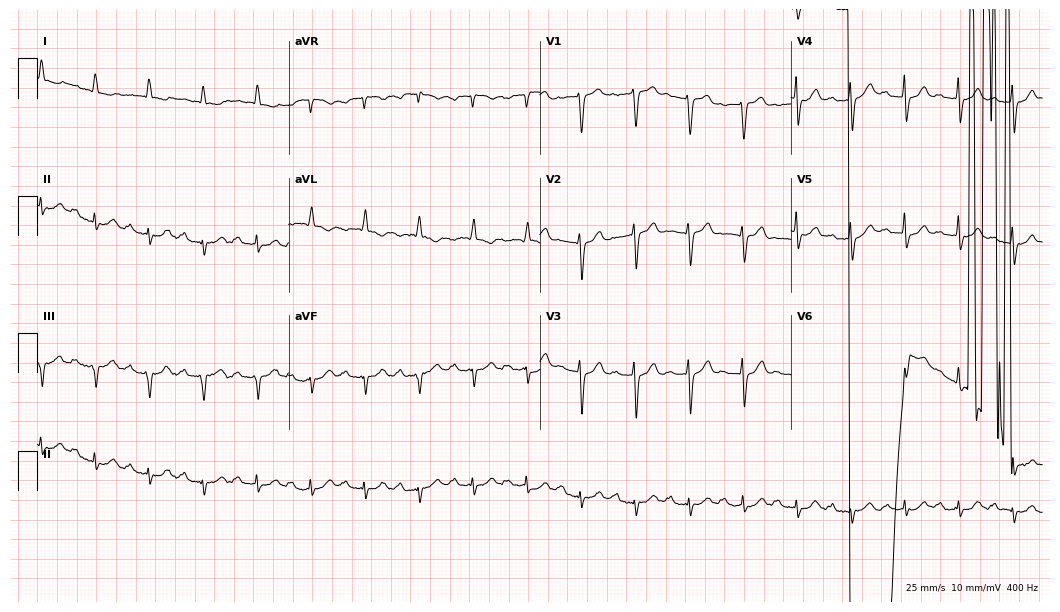
12-lead ECG from a 73-year-old woman. Screened for six findings — first-degree AV block, right bundle branch block (RBBB), left bundle branch block (LBBB), sinus bradycardia, atrial fibrillation (AF), sinus tachycardia — none is recorded. Other findings, if any, are not listed.